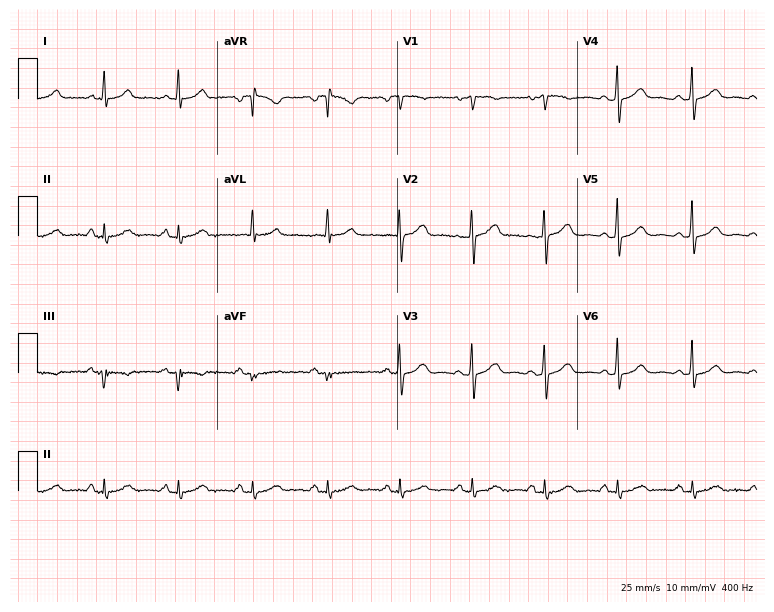
Resting 12-lead electrocardiogram. Patient: a 58-year-old female. Read as a normal ECG.